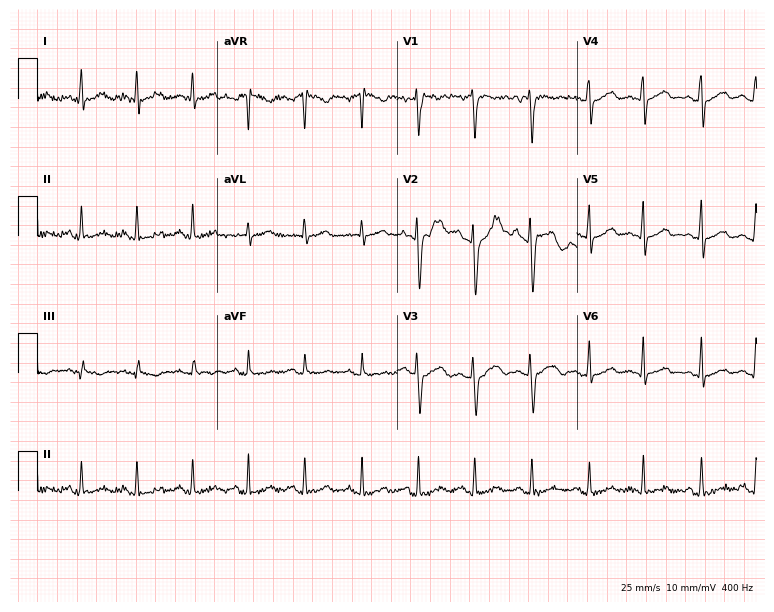
Resting 12-lead electrocardiogram. Patient: a man, 36 years old. The tracing shows sinus tachycardia (a sinus rate of 100 beats per minute or more).